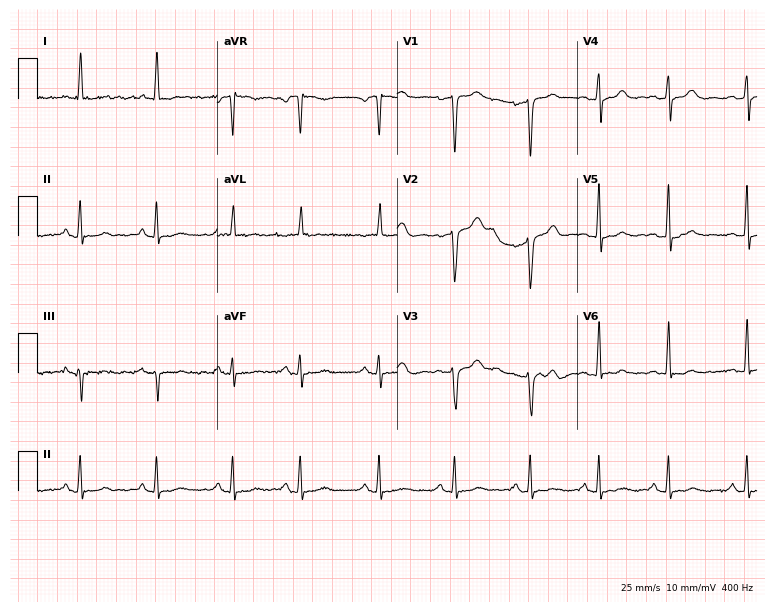
12-lead ECG (7.3-second recording at 400 Hz) from a female patient, 59 years old. Screened for six findings — first-degree AV block, right bundle branch block, left bundle branch block, sinus bradycardia, atrial fibrillation, sinus tachycardia — none is recorded. Findings outside these six are not listed.